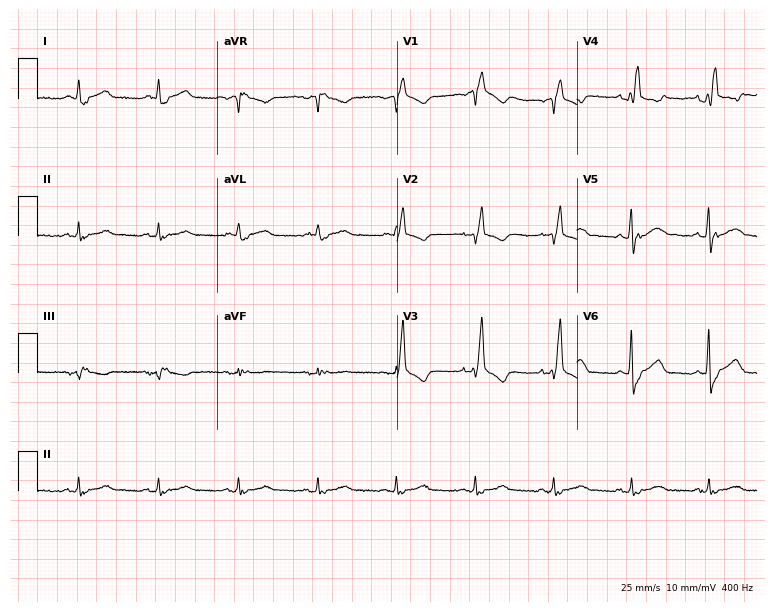
ECG — a male patient, 73 years old. Findings include right bundle branch block.